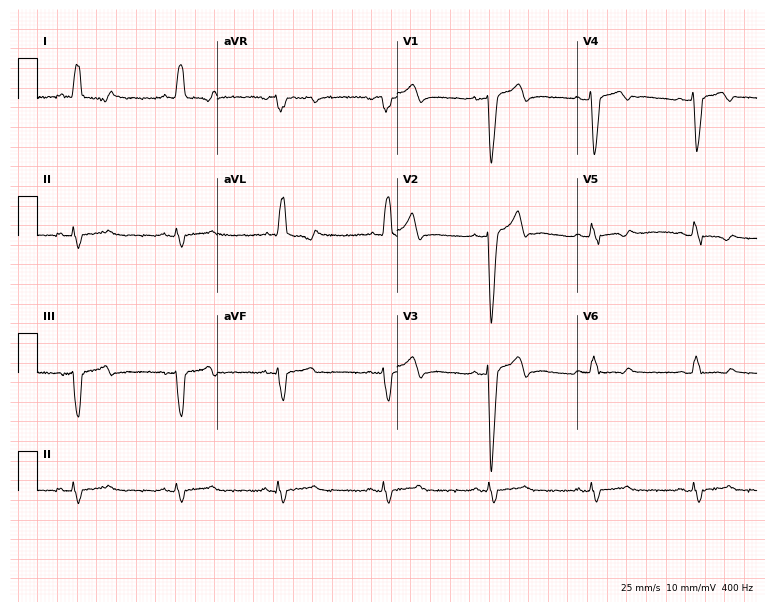
12-lead ECG from a female patient, 78 years old (7.3-second recording at 400 Hz). Shows right bundle branch block, left bundle branch block.